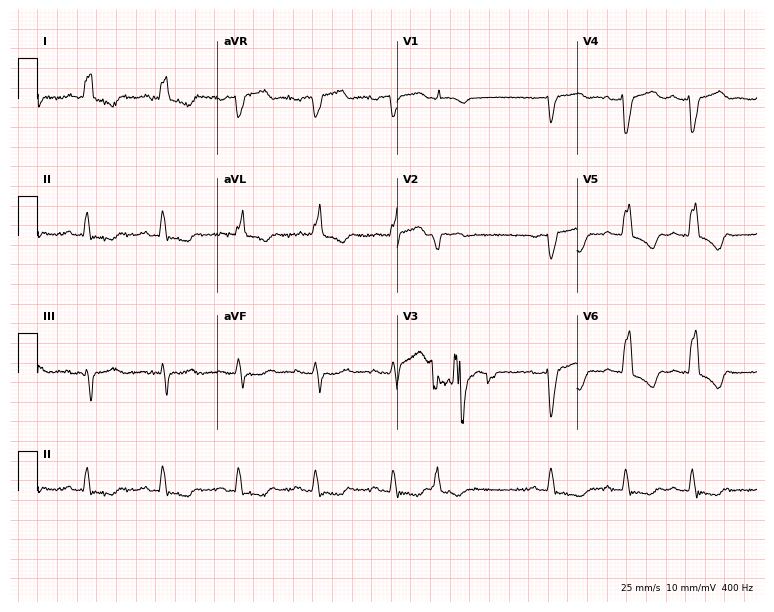
12-lead ECG from an 80-year-old female patient. Findings include left bundle branch block (LBBB).